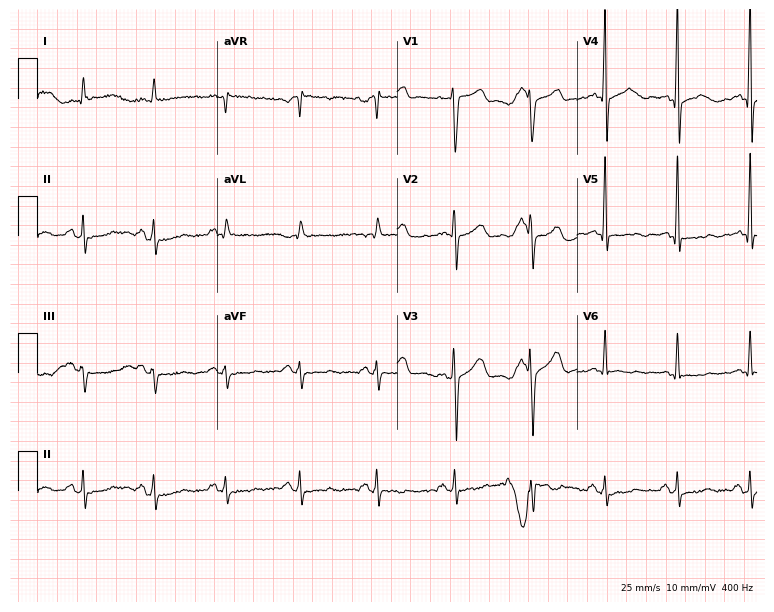
Standard 12-lead ECG recorded from a 68-year-old male (7.3-second recording at 400 Hz). None of these six findings is recorded: first-degree AV block, right bundle branch block, left bundle branch block, sinus bradycardia, atrial fibrillation, sinus tachycardia. Only these six findings were labelled.